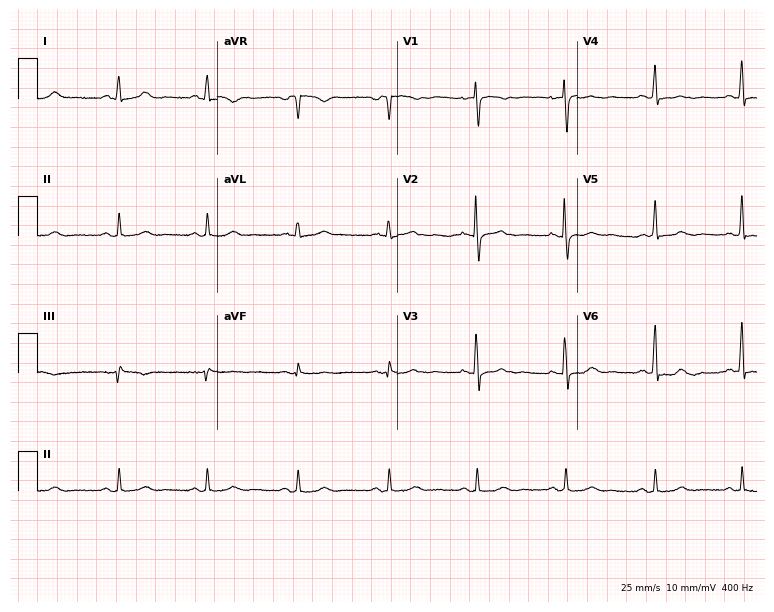
Standard 12-lead ECG recorded from a female patient, 54 years old. None of these six findings is recorded: first-degree AV block, right bundle branch block (RBBB), left bundle branch block (LBBB), sinus bradycardia, atrial fibrillation (AF), sinus tachycardia. Other findings, if any, are not listed.